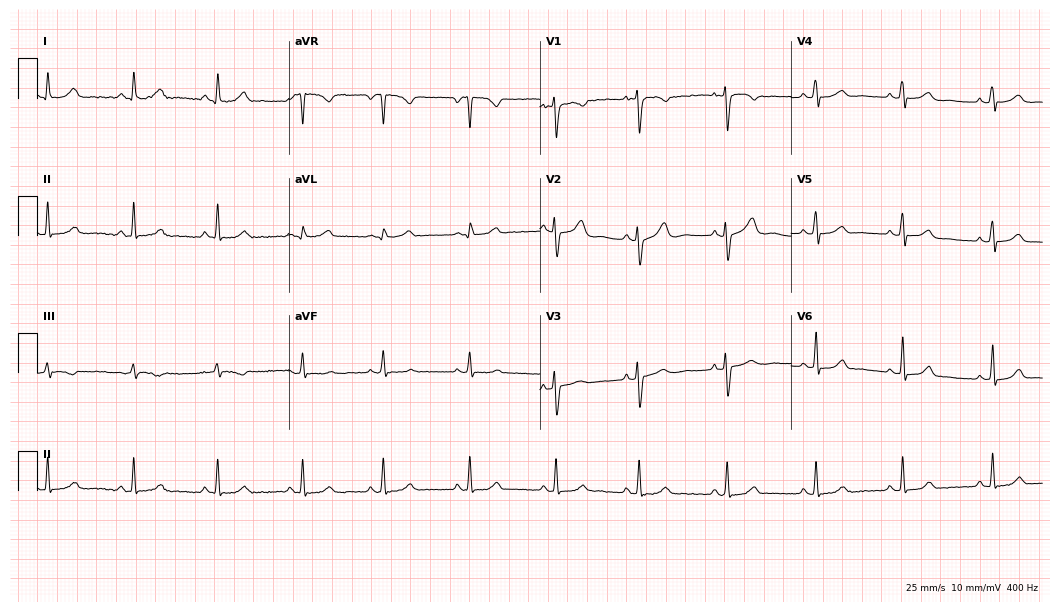
12-lead ECG from a female patient, 33 years old. Recorded interpretation: within normal limits.